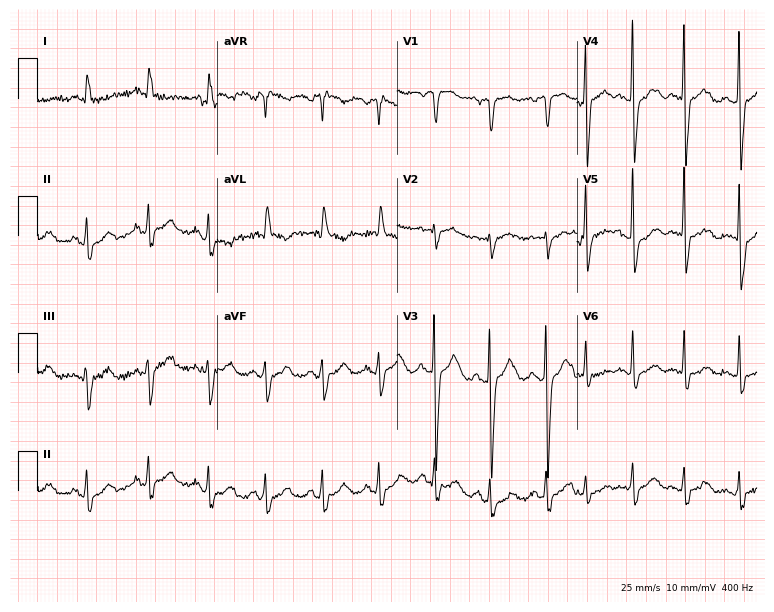
Resting 12-lead electrocardiogram (7.3-second recording at 400 Hz). Patient: a female, 81 years old. The tracing shows sinus tachycardia (a sinus rate of 100 beats per minute or more).